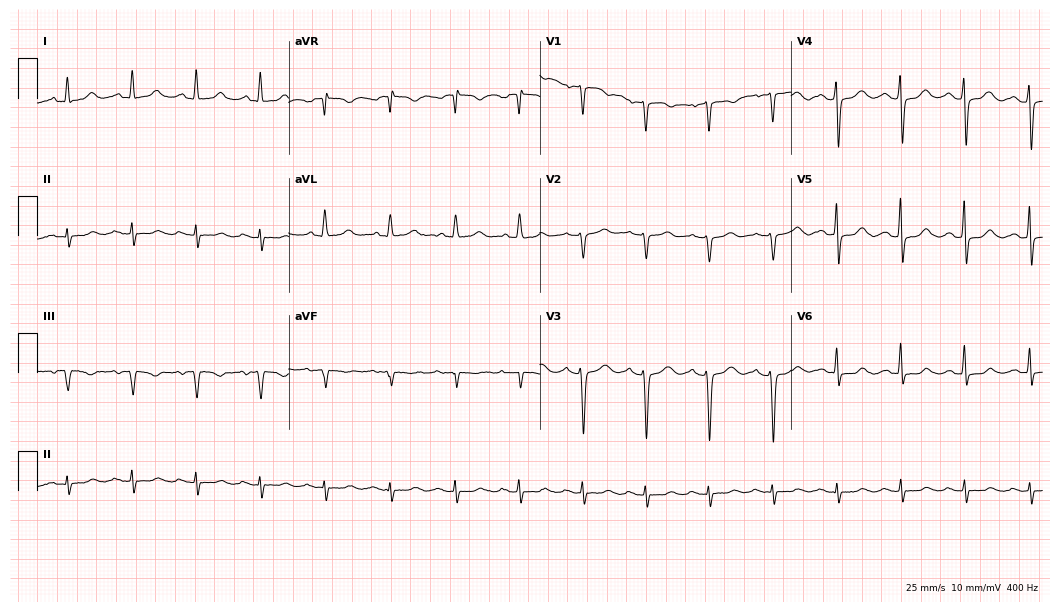
Resting 12-lead electrocardiogram (10.2-second recording at 400 Hz). Patient: a 63-year-old female. None of these six findings is recorded: first-degree AV block, right bundle branch block, left bundle branch block, sinus bradycardia, atrial fibrillation, sinus tachycardia. Other findings, if any, are not listed.